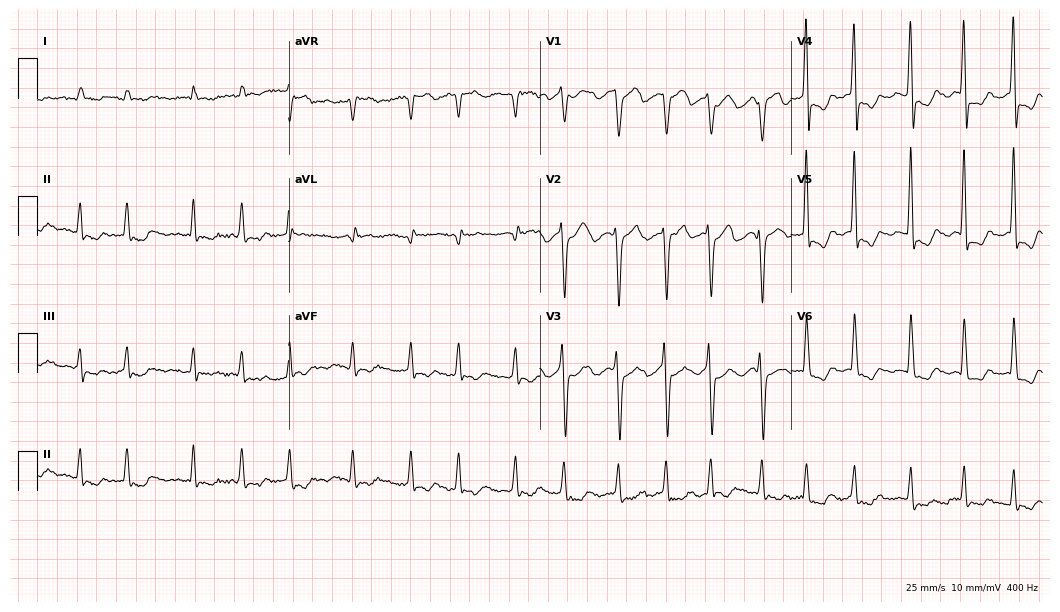
12-lead ECG from a female patient, 68 years old (10.2-second recording at 400 Hz). Shows atrial fibrillation.